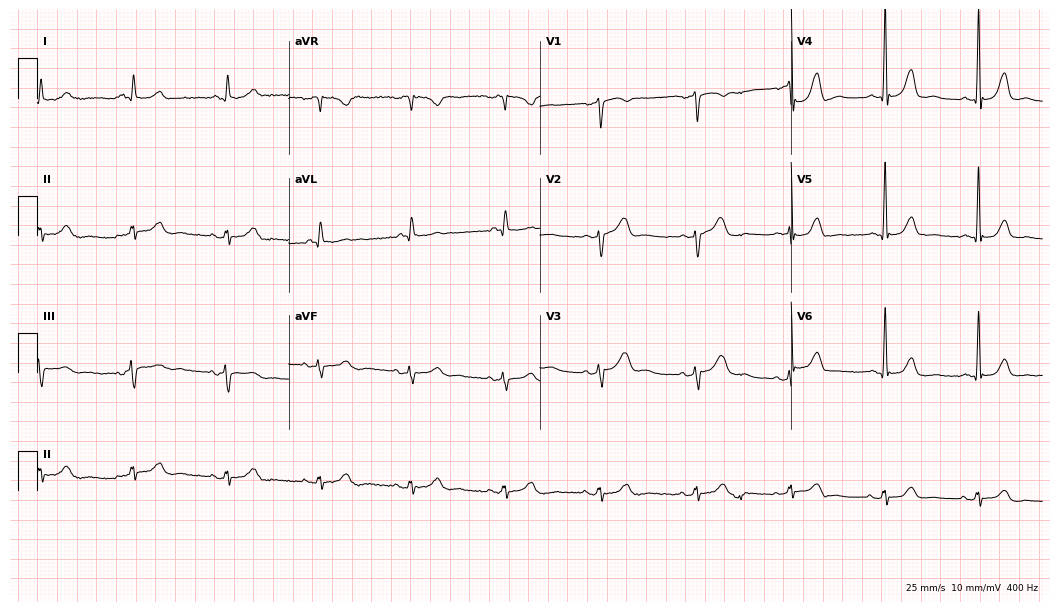
Electrocardiogram, a 60-year-old female. Overall reading on record: normal ECG.